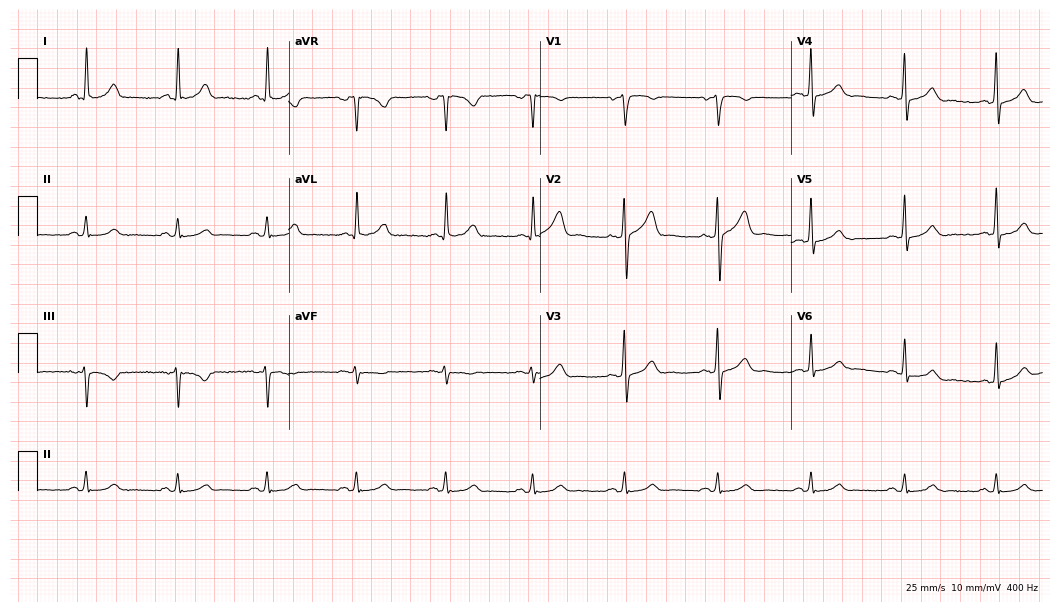
Resting 12-lead electrocardiogram. Patient: a male, 45 years old. Read as a normal ECG.